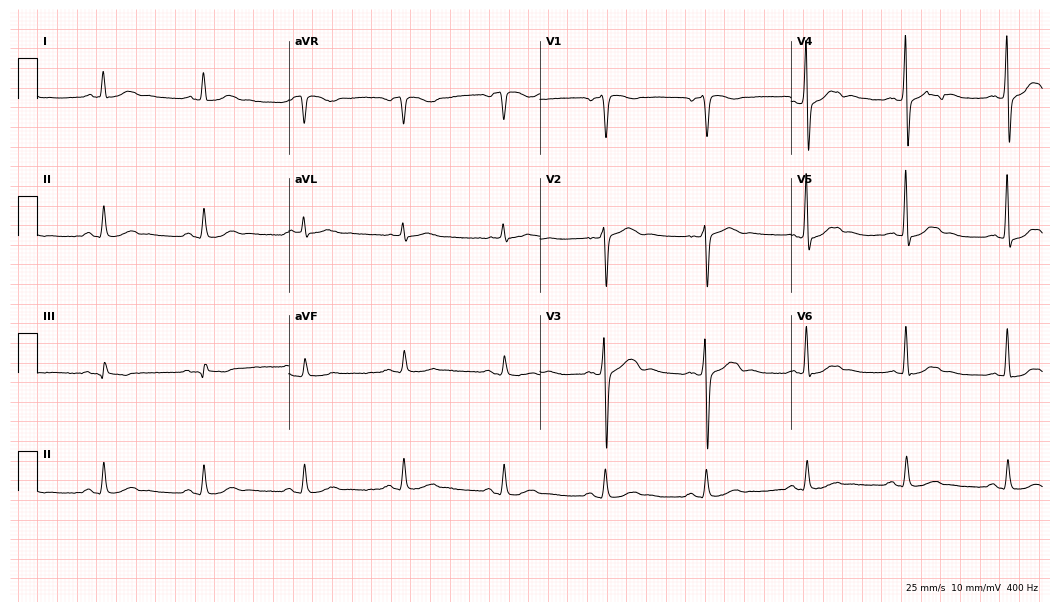
Resting 12-lead electrocardiogram (10.2-second recording at 400 Hz). Patient: a man, 62 years old. None of these six findings is recorded: first-degree AV block, right bundle branch block (RBBB), left bundle branch block (LBBB), sinus bradycardia, atrial fibrillation (AF), sinus tachycardia. Findings outside these six are not listed.